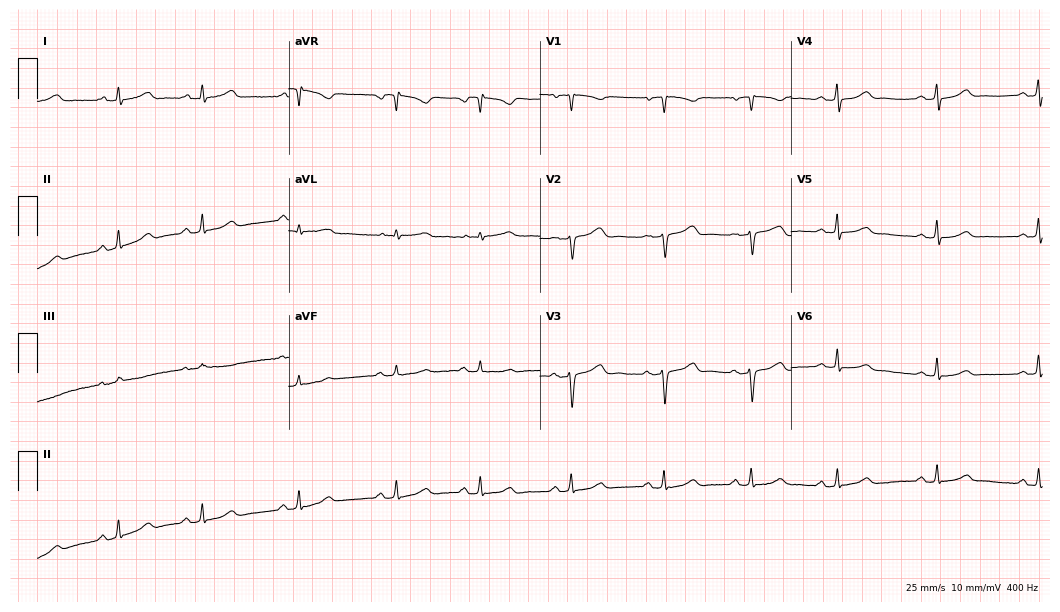
Resting 12-lead electrocardiogram (10.2-second recording at 400 Hz). Patient: a female, 32 years old. Read as a normal ECG.